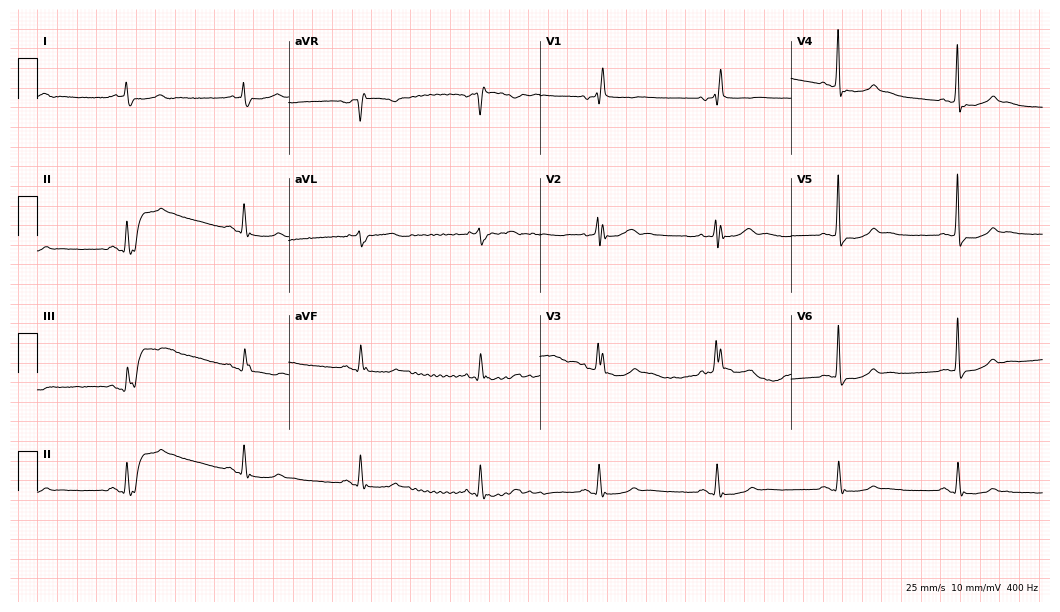
12-lead ECG from a 79-year-old male patient. No first-degree AV block, right bundle branch block, left bundle branch block, sinus bradycardia, atrial fibrillation or sinus tachycardia recorded for this tracing.